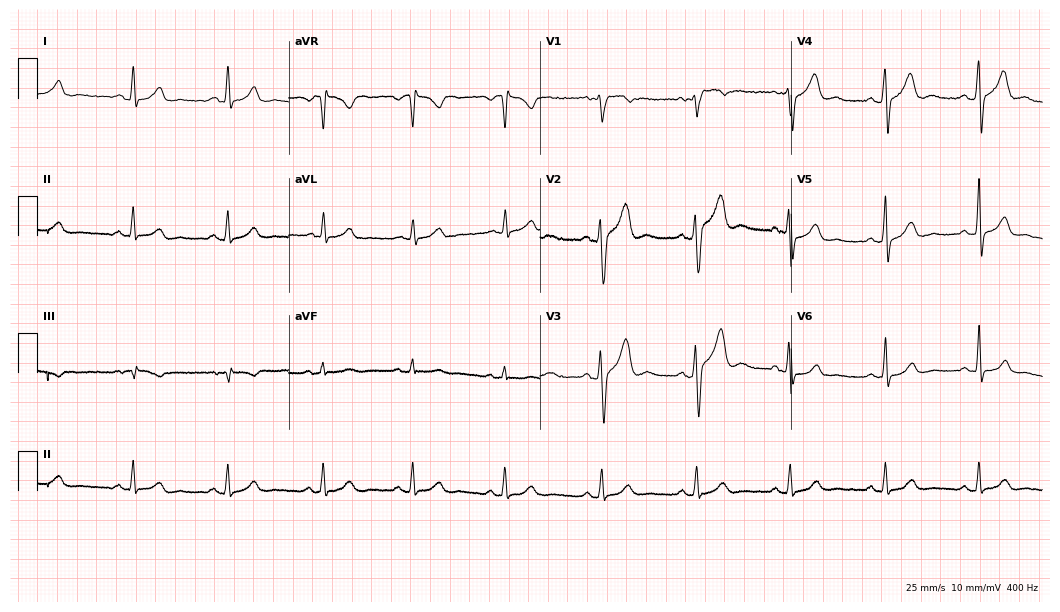
Resting 12-lead electrocardiogram. Patient: a male, 36 years old. Read as a normal ECG.